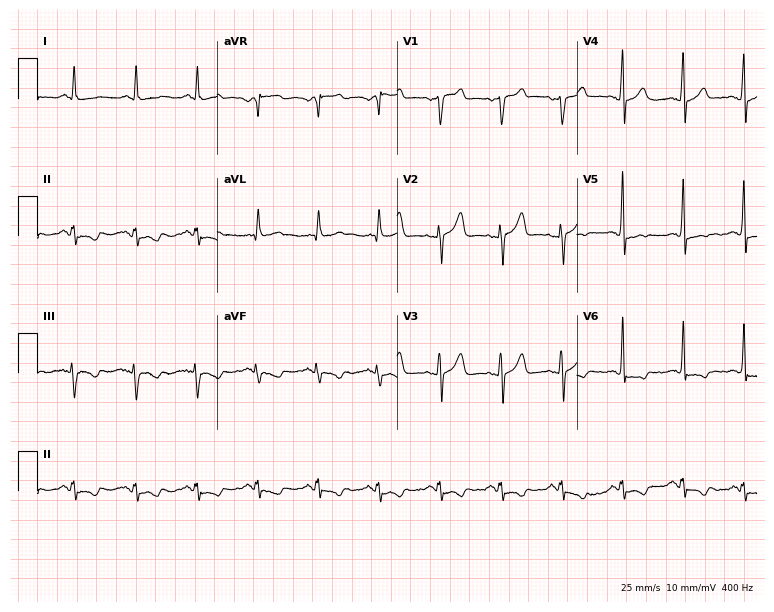
ECG — a 63-year-old male. Screened for six findings — first-degree AV block, right bundle branch block, left bundle branch block, sinus bradycardia, atrial fibrillation, sinus tachycardia — none is recorded.